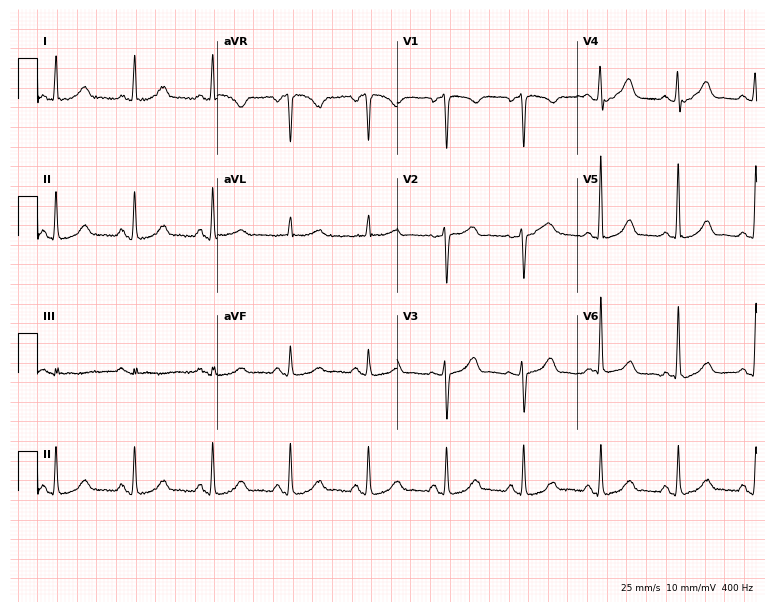
12-lead ECG from a female patient, 60 years old. Labelled as a normal ECG.